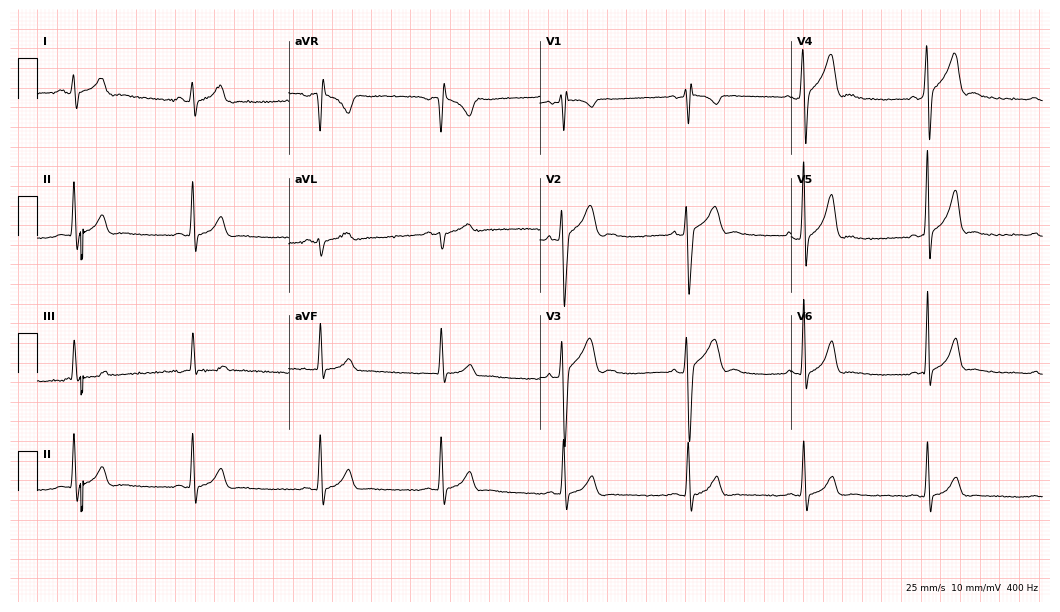
Electrocardiogram, a male, 19 years old. Interpretation includes sinus bradycardia (a sinus rate of 50 beats per minute or less).